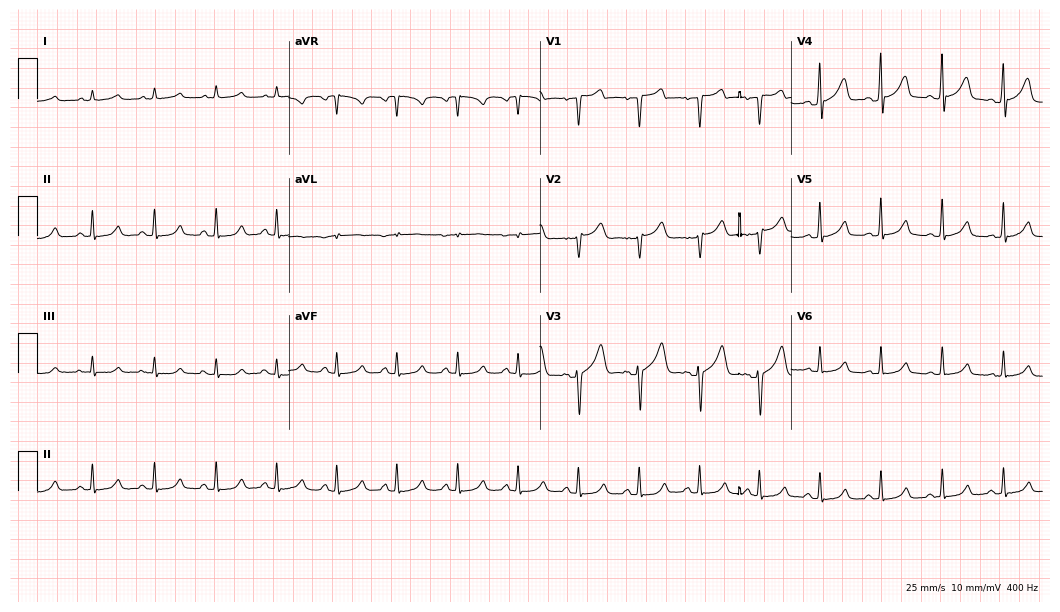
Electrocardiogram (10.2-second recording at 400 Hz), a female patient, 58 years old. Of the six screened findings (first-degree AV block, right bundle branch block (RBBB), left bundle branch block (LBBB), sinus bradycardia, atrial fibrillation (AF), sinus tachycardia), none is recorded.